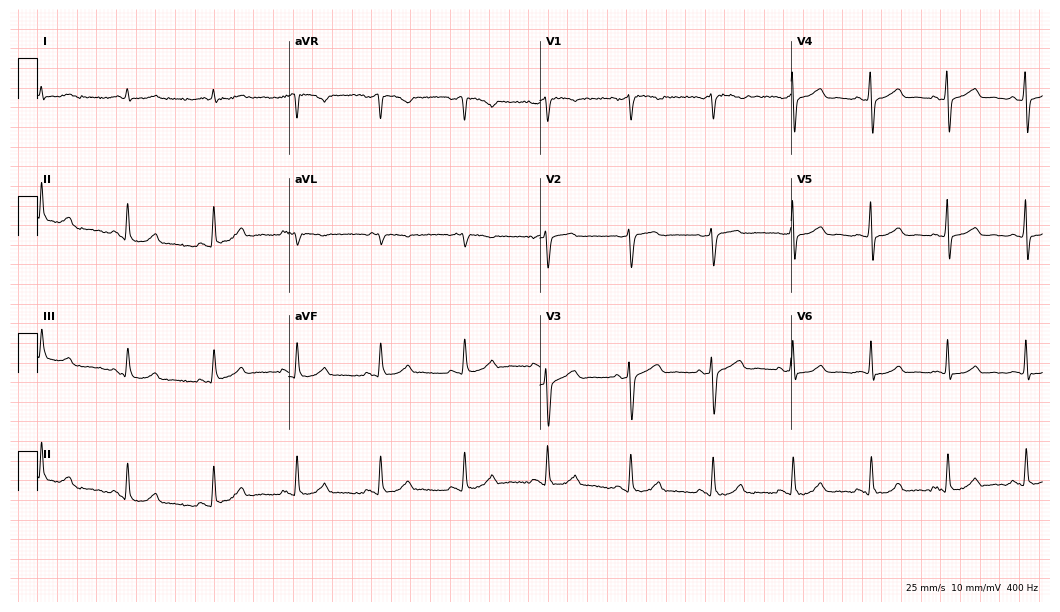
Resting 12-lead electrocardiogram. Patient: a 57-year-old male. None of these six findings is recorded: first-degree AV block, right bundle branch block, left bundle branch block, sinus bradycardia, atrial fibrillation, sinus tachycardia.